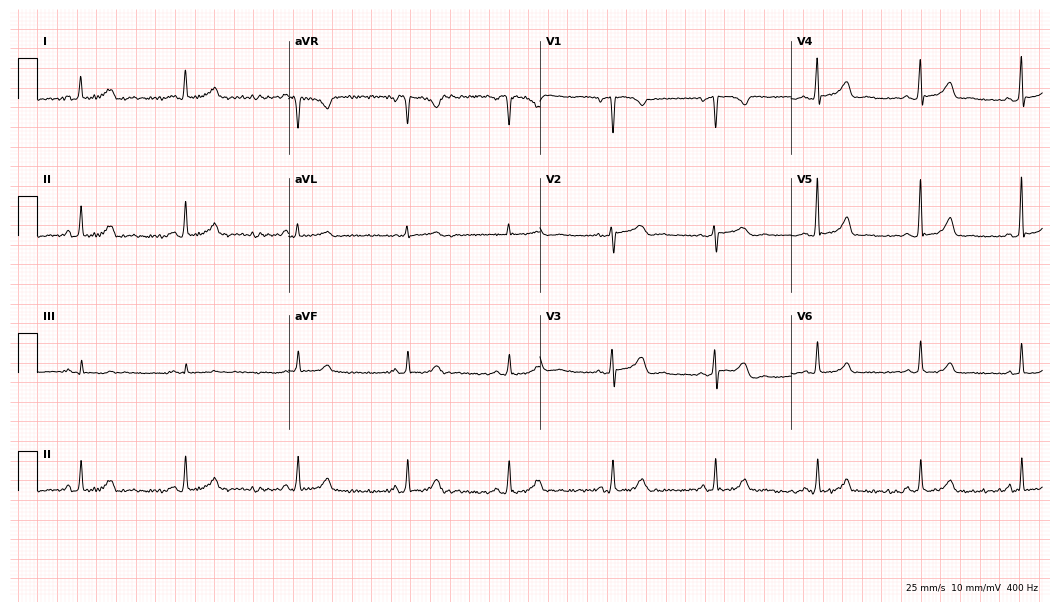
ECG — a 48-year-old female patient. Screened for six findings — first-degree AV block, right bundle branch block, left bundle branch block, sinus bradycardia, atrial fibrillation, sinus tachycardia — none is recorded.